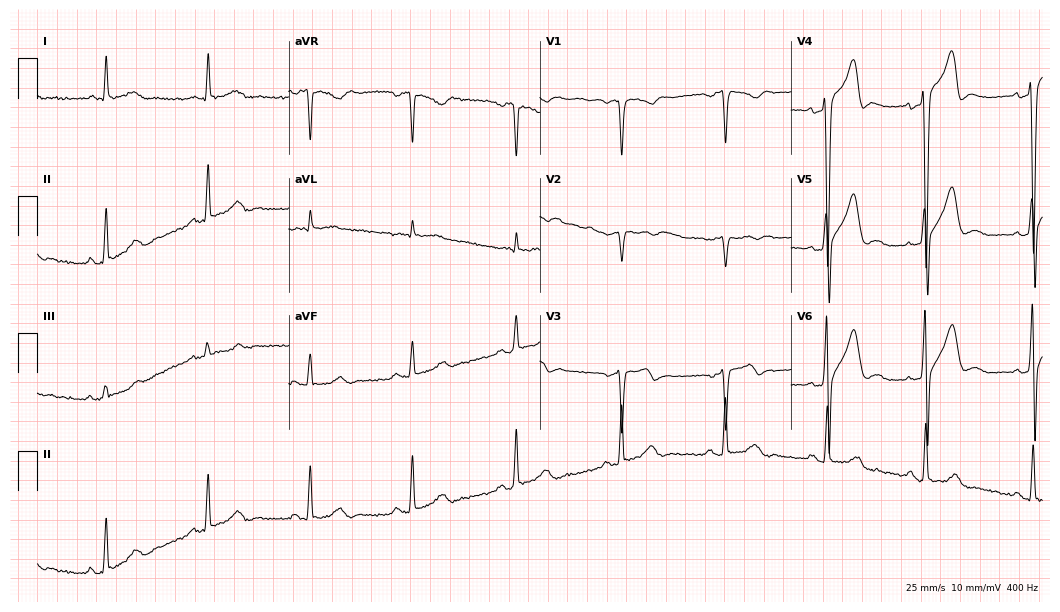
Resting 12-lead electrocardiogram (10.2-second recording at 400 Hz). Patient: a 51-year-old male. None of these six findings is recorded: first-degree AV block, right bundle branch block, left bundle branch block, sinus bradycardia, atrial fibrillation, sinus tachycardia. Only these six findings were labelled.